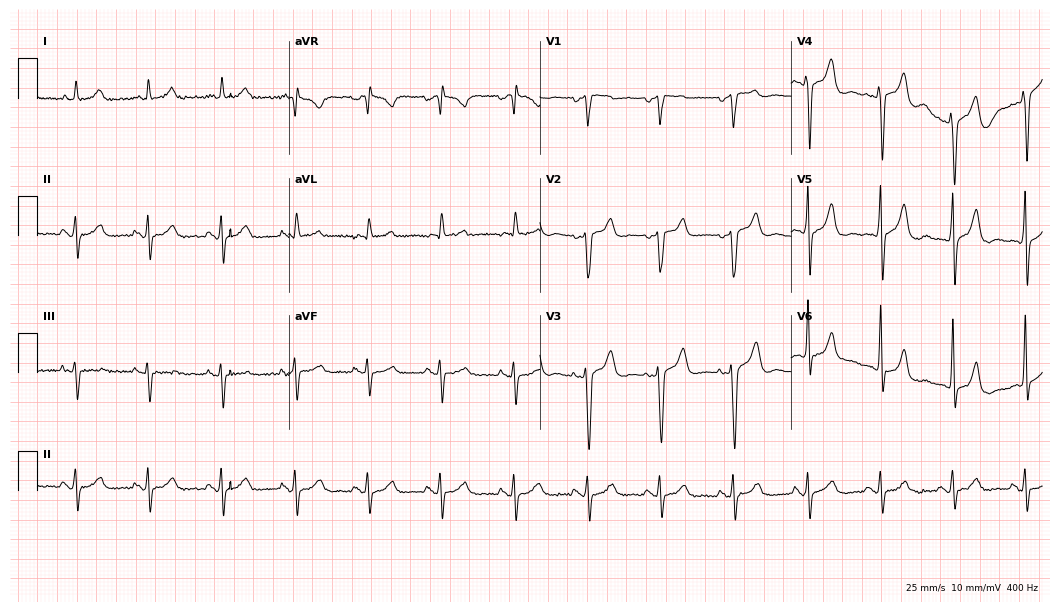
ECG (10.2-second recording at 400 Hz) — a 68-year-old male patient. Screened for six findings — first-degree AV block, right bundle branch block (RBBB), left bundle branch block (LBBB), sinus bradycardia, atrial fibrillation (AF), sinus tachycardia — none is recorded. Only these six findings were labelled.